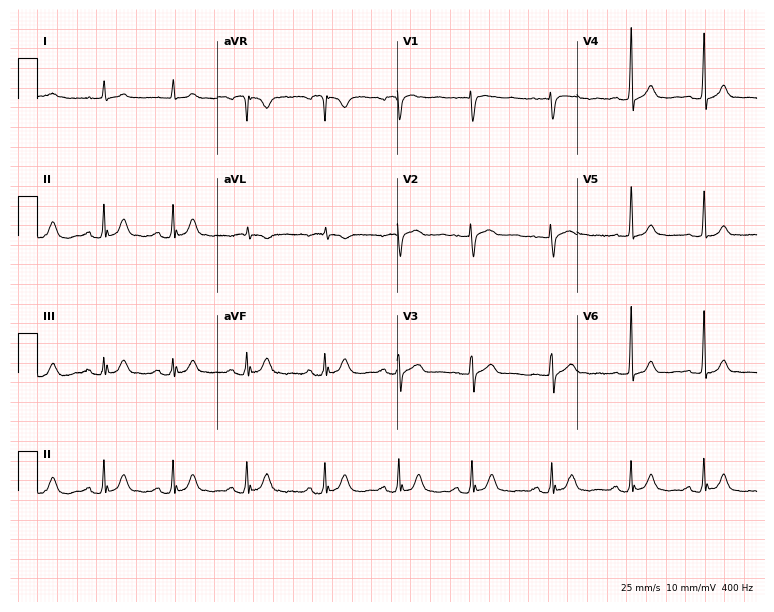
Standard 12-lead ECG recorded from a male, 65 years old. None of these six findings is recorded: first-degree AV block, right bundle branch block (RBBB), left bundle branch block (LBBB), sinus bradycardia, atrial fibrillation (AF), sinus tachycardia.